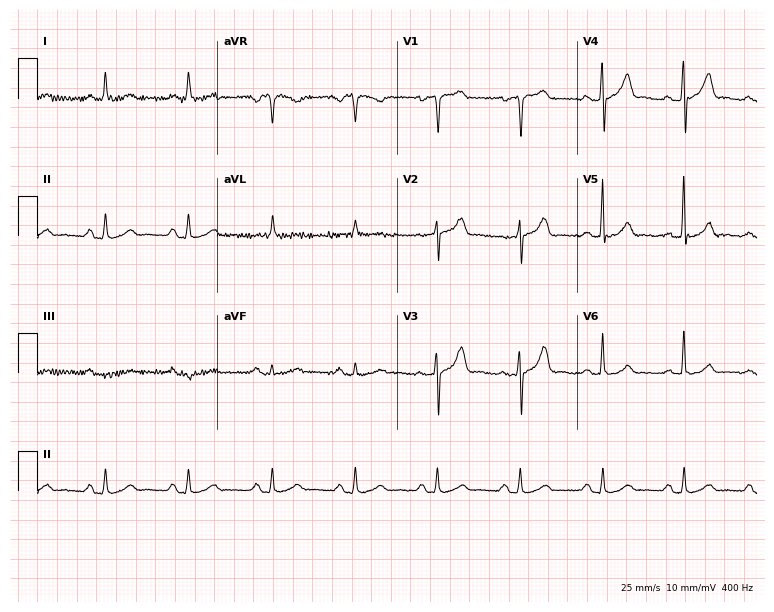
Electrocardiogram, a female, 61 years old. Overall reading on record: normal ECG.